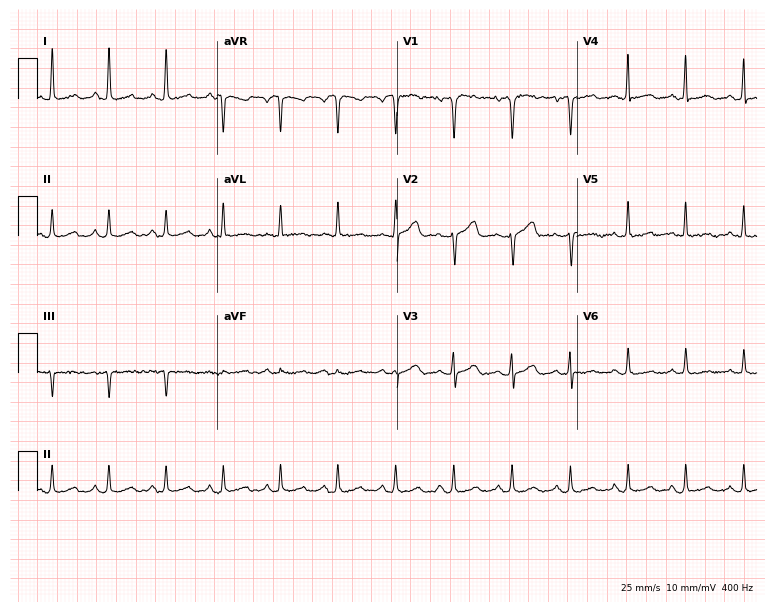
Resting 12-lead electrocardiogram. Patient: a 58-year-old female. Read as a normal ECG.